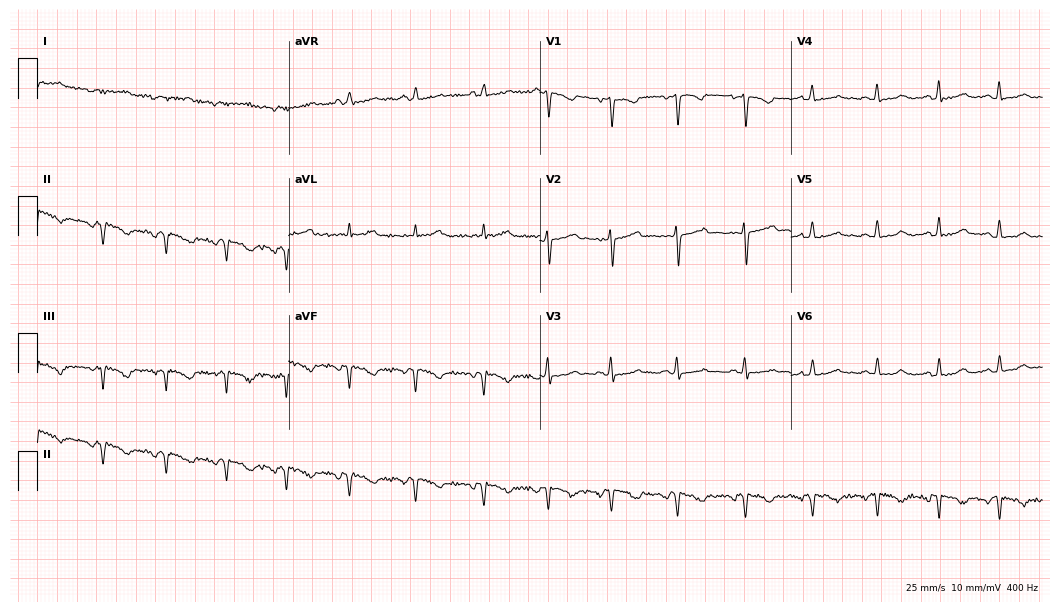
Electrocardiogram (10.2-second recording at 400 Hz), a 30-year-old woman. Of the six screened findings (first-degree AV block, right bundle branch block, left bundle branch block, sinus bradycardia, atrial fibrillation, sinus tachycardia), none is recorded.